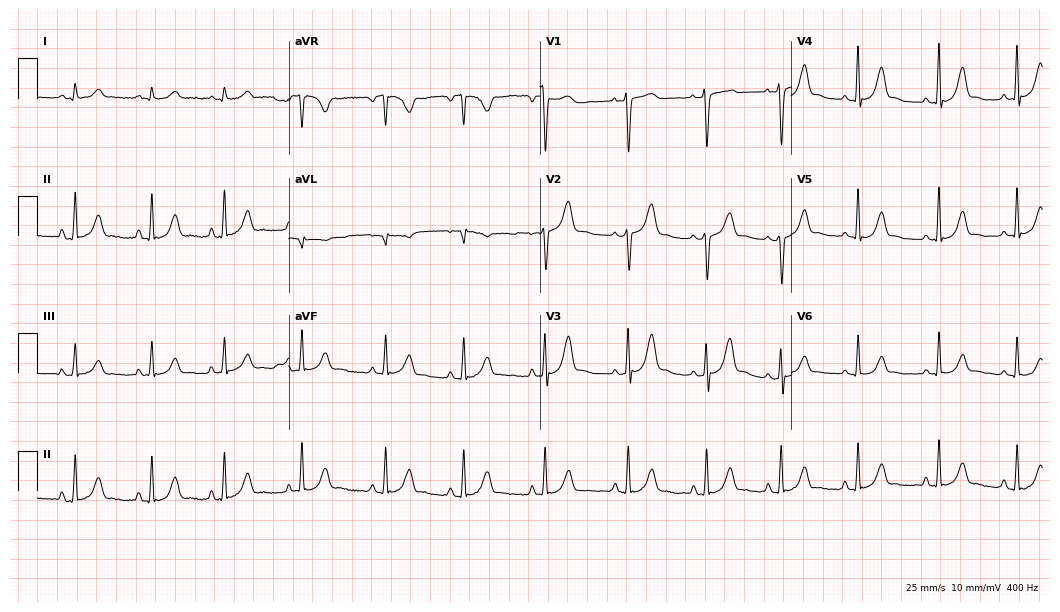
12-lead ECG from a 22-year-old female (10.2-second recording at 400 Hz). Recorded interpretation: within normal limits.